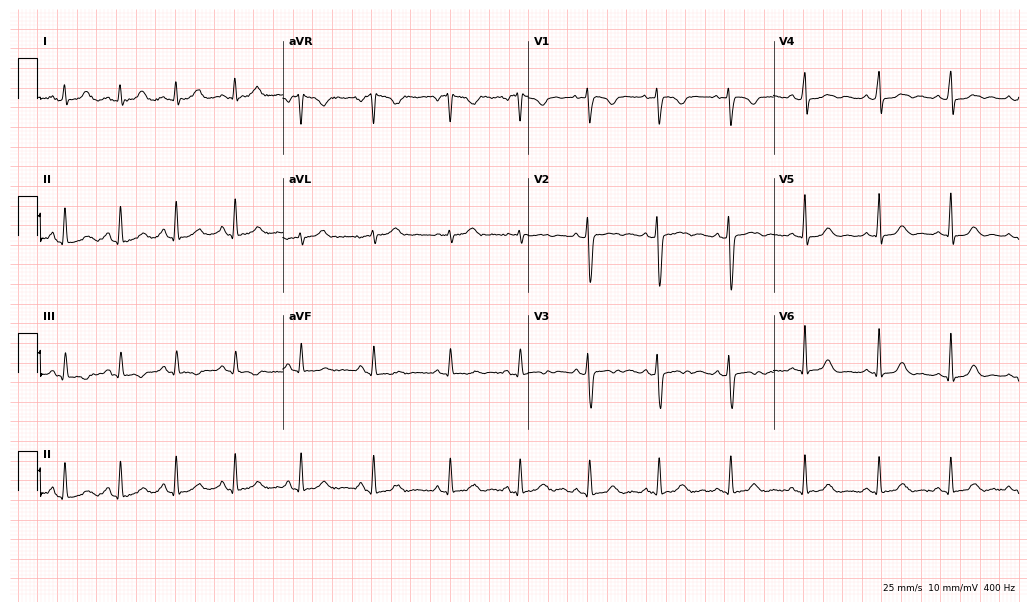
Electrocardiogram, a 20-year-old woman. Of the six screened findings (first-degree AV block, right bundle branch block (RBBB), left bundle branch block (LBBB), sinus bradycardia, atrial fibrillation (AF), sinus tachycardia), none is recorded.